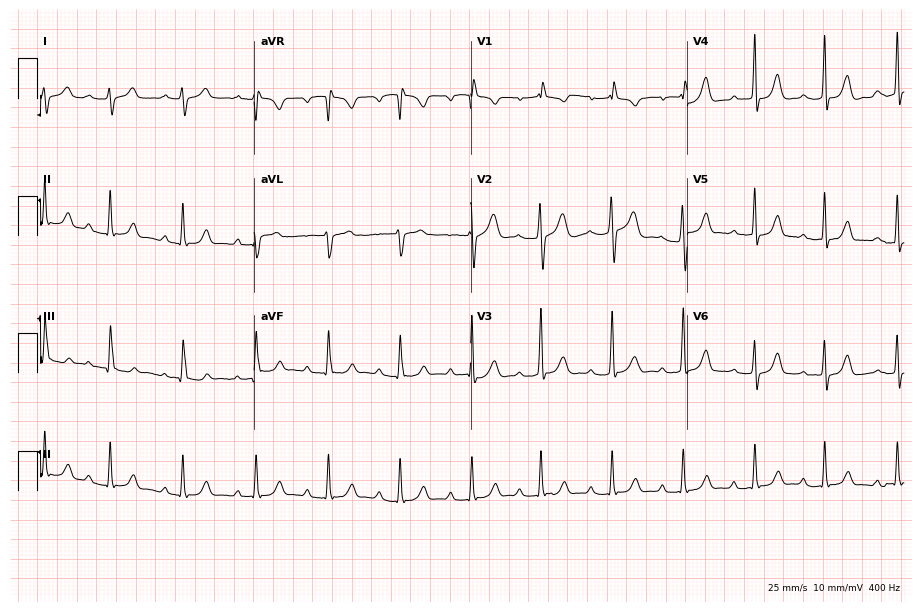
ECG (8.8-second recording at 400 Hz) — an 18-year-old female patient. Labelled as a normal ECG.